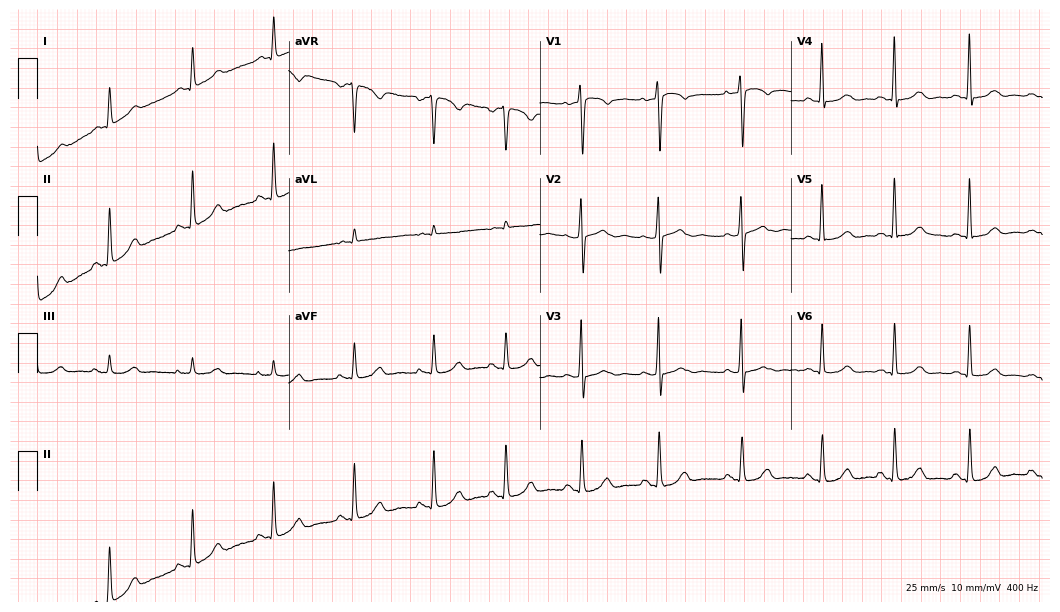
Resting 12-lead electrocardiogram. Patient: a woman, 52 years old. None of these six findings is recorded: first-degree AV block, right bundle branch block, left bundle branch block, sinus bradycardia, atrial fibrillation, sinus tachycardia.